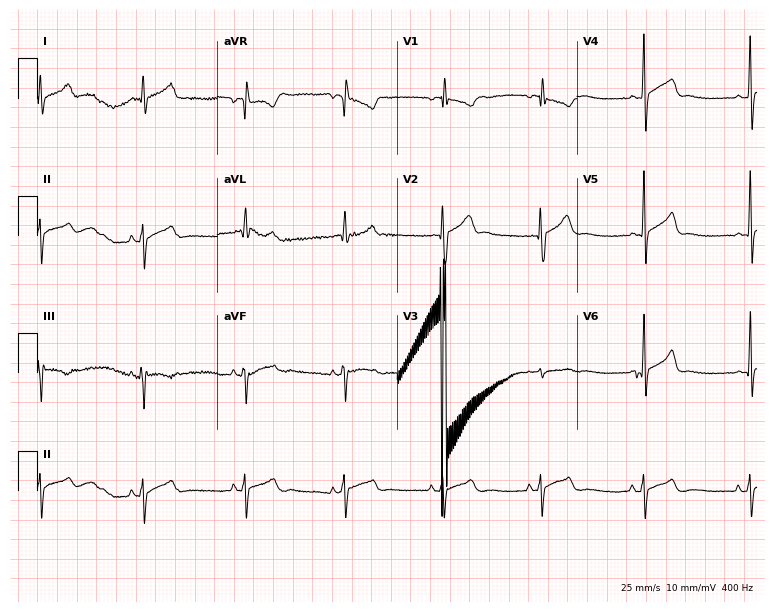
Electrocardiogram (7.3-second recording at 400 Hz), a 17-year-old male patient. Of the six screened findings (first-degree AV block, right bundle branch block (RBBB), left bundle branch block (LBBB), sinus bradycardia, atrial fibrillation (AF), sinus tachycardia), none is recorded. Only these six findings were labelled.